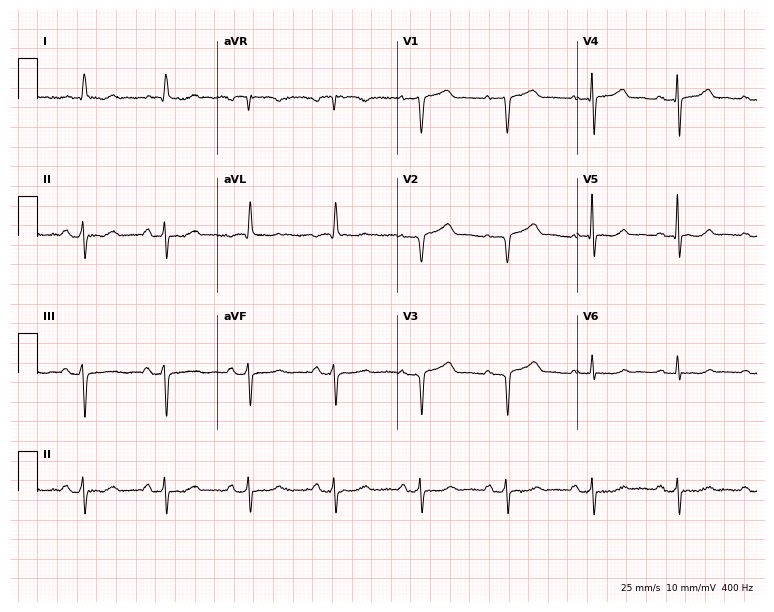
Resting 12-lead electrocardiogram. Patient: a 77-year-old female. None of these six findings is recorded: first-degree AV block, right bundle branch block, left bundle branch block, sinus bradycardia, atrial fibrillation, sinus tachycardia. Other findings, if any, are not listed.